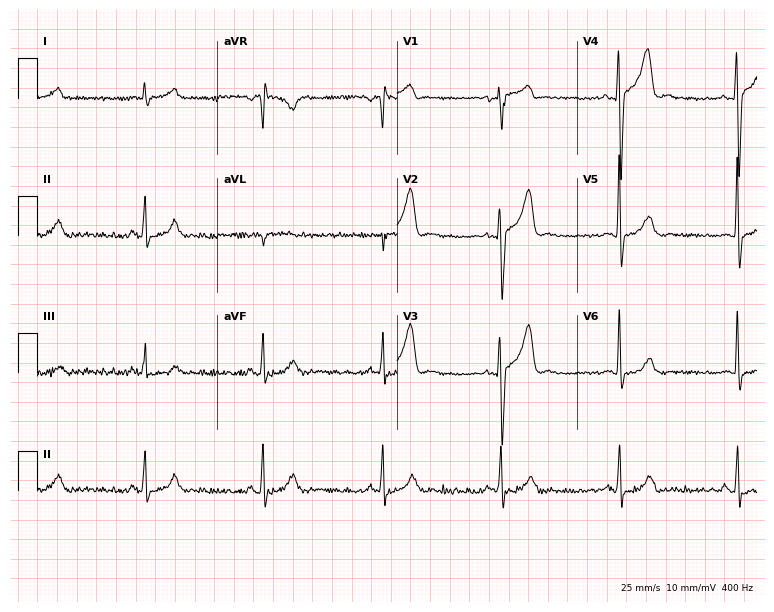
ECG — a 59-year-old male. Screened for six findings — first-degree AV block, right bundle branch block, left bundle branch block, sinus bradycardia, atrial fibrillation, sinus tachycardia — none is recorded.